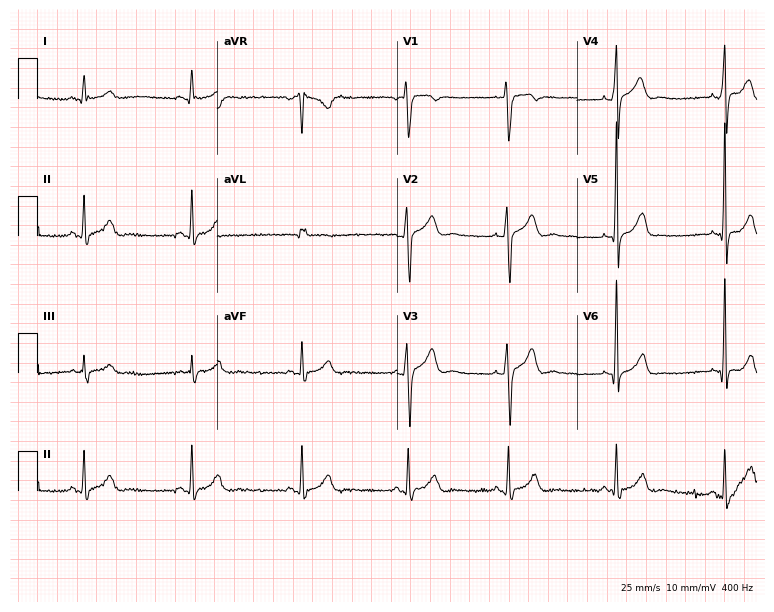
ECG — a 21-year-old male patient. Labelled as a normal ECG.